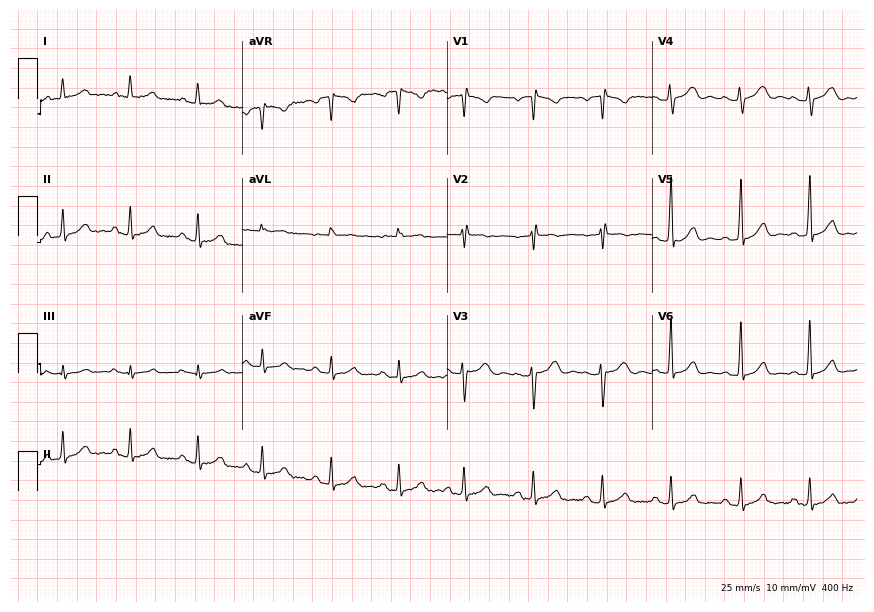
12-lead ECG from a female, 25 years old (8.4-second recording at 400 Hz). No first-degree AV block, right bundle branch block, left bundle branch block, sinus bradycardia, atrial fibrillation or sinus tachycardia recorded for this tracing. Only these six findings were labelled.